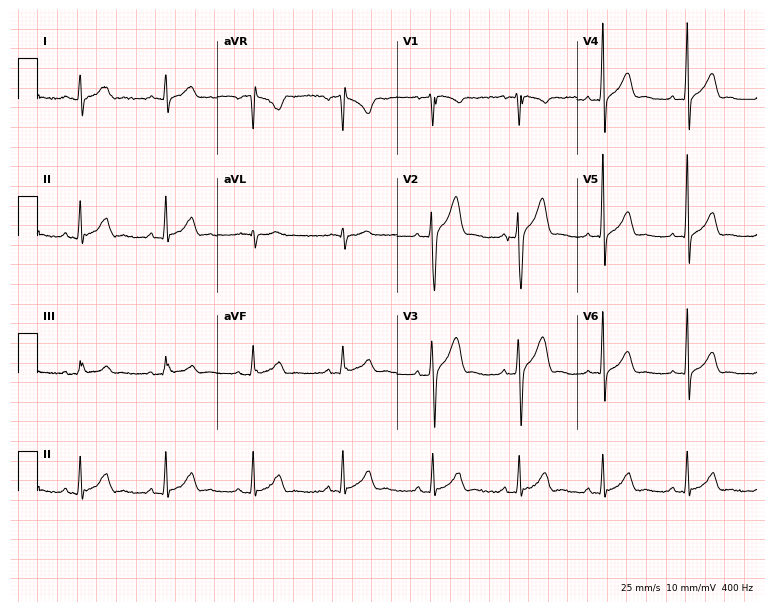
Standard 12-lead ECG recorded from a 34-year-old male (7.3-second recording at 400 Hz). Read as a normal ECG.